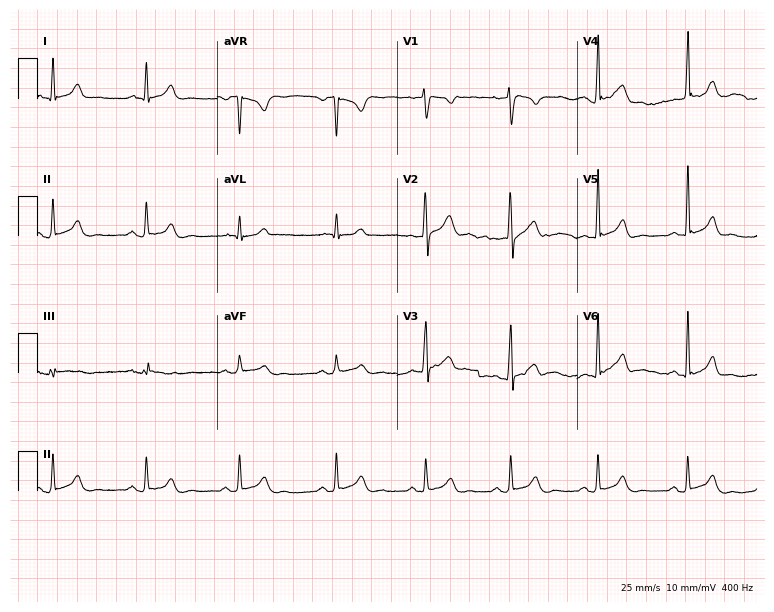
Standard 12-lead ECG recorded from a male patient, 38 years old (7.3-second recording at 400 Hz). Read as a normal ECG.